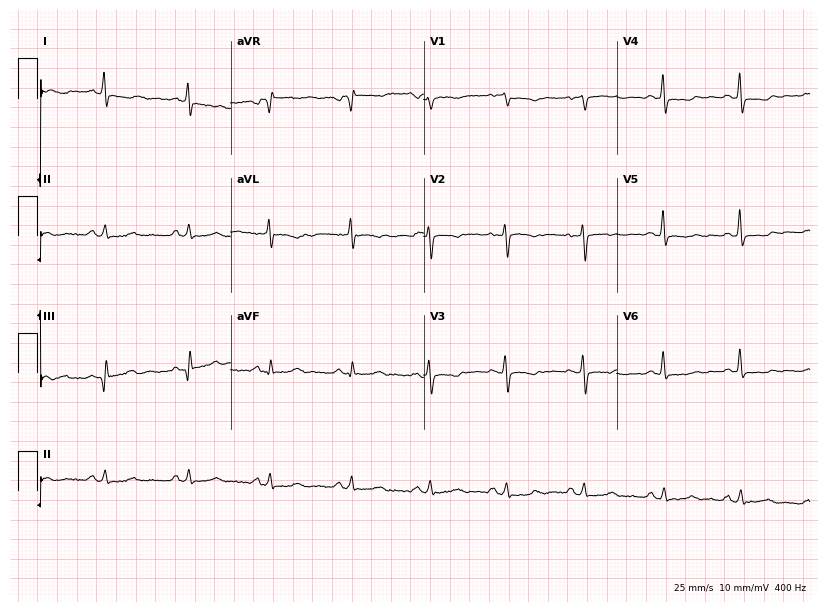
Electrocardiogram, a 59-year-old female patient. Of the six screened findings (first-degree AV block, right bundle branch block, left bundle branch block, sinus bradycardia, atrial fibrillation, sinus tachycardia), none is recorded.